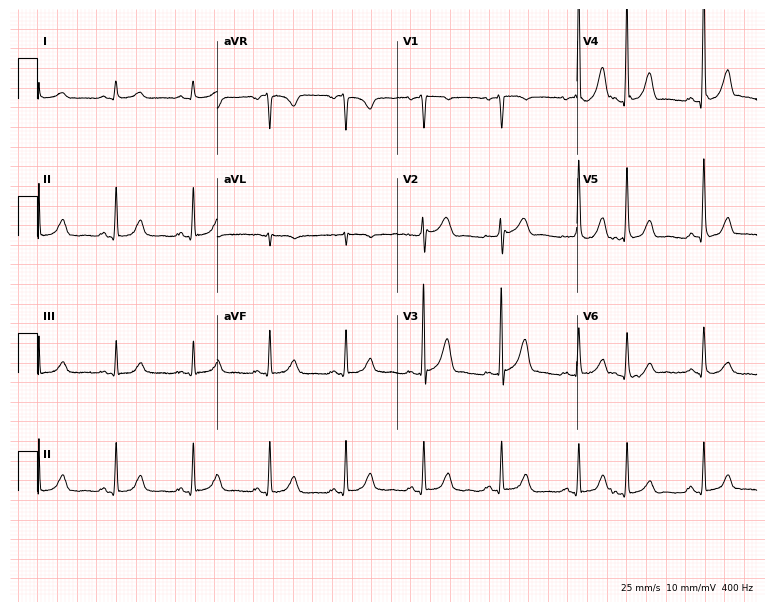
12-lead ECG from a 70-year-old male patient. Screened for six findings — first-degree AV block, right bundle branch block (RBBB), left bundle branch block (LBBB), sinus bradycardia, atrial fibrillation (AF), sinus tachycardia — none is recorded. Findings outside these six are not listed.